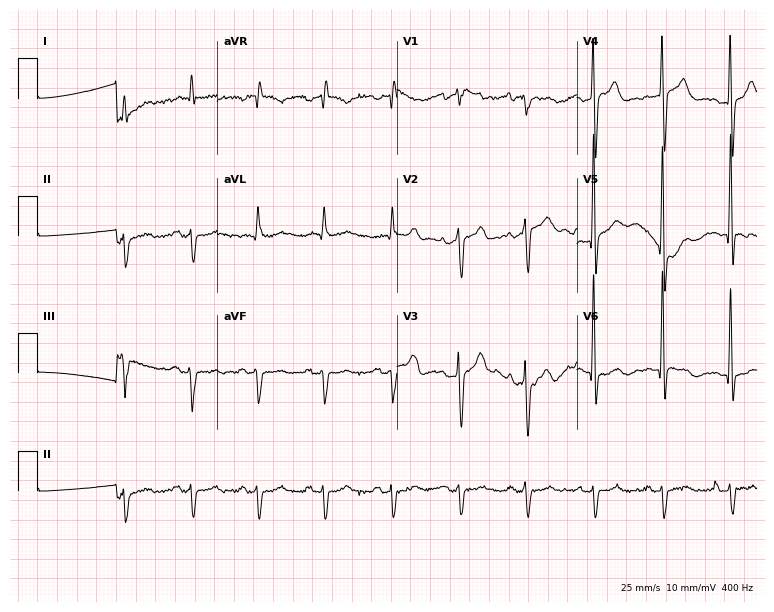
Resting 12-lead electrocardiogram (7.3-second recording at 400 Hz). Patient: an 84-year-old man. None of these six findings is recorded: first-degree AV block, right bundle branch block, left bundle branch block, sinus bradycardia, atrial fibrillation, sinus tachycardia. Only these six findings were labelled.